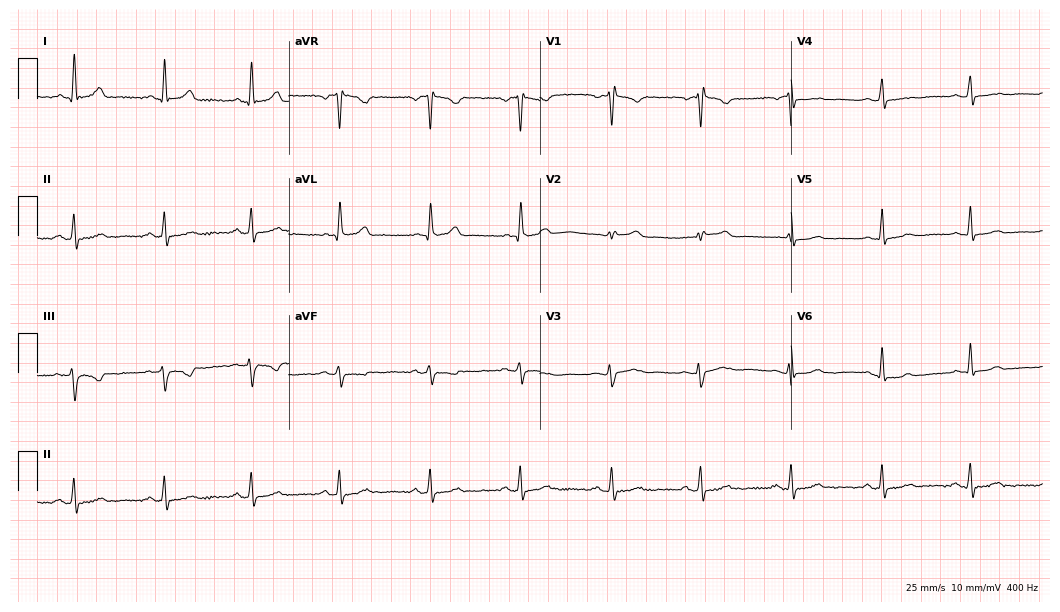
Electrocardiogram (10.2-second recording at 400 Hz), a 45-year-old woman. Overall reading on record: normal ECG.